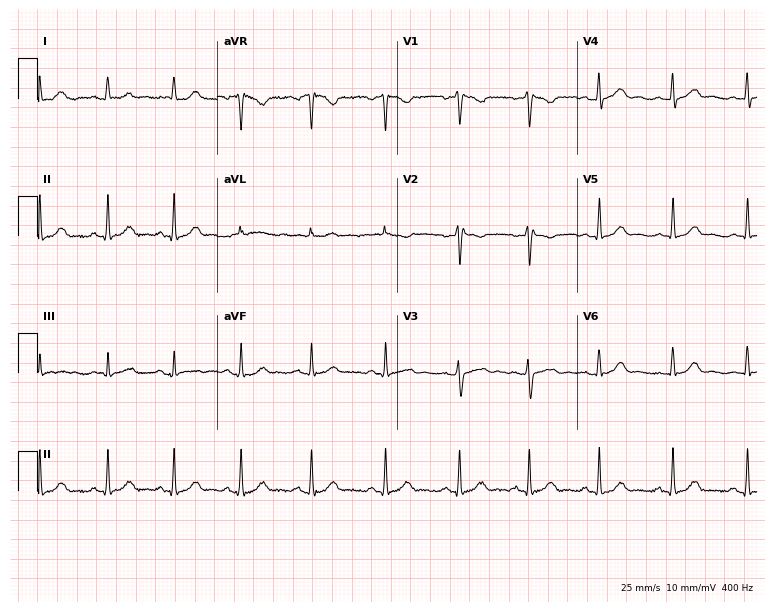
Standard 12-lead ECG recorded from a 31-year-old female patient (7.3-second recording at 400 Hz). Read as a normal ECG.